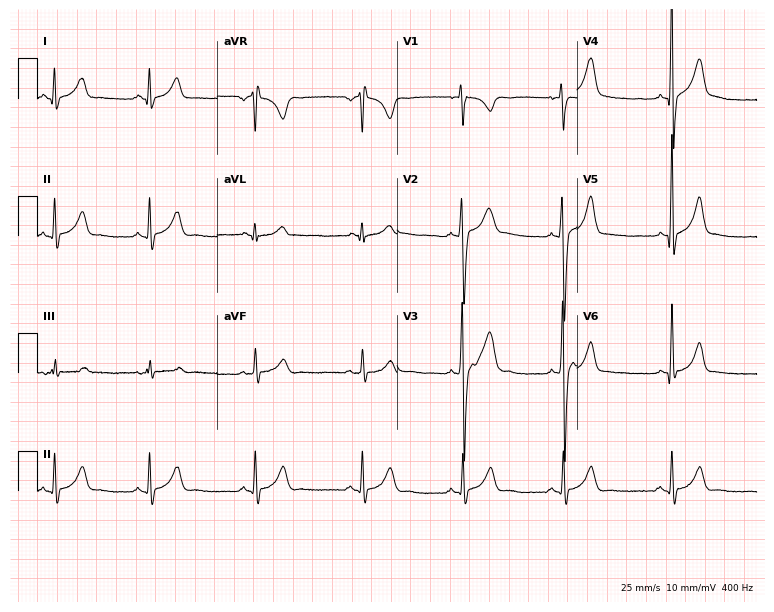
12-lead ECG from a man, 26 years old. Screened for six findings — first-degree AV block, right bundle branch block, left bundle branch block, sinus bradycardia, atrial fibrillation, sinus tachycardia — none is recorded. Only these six findings were labelled.